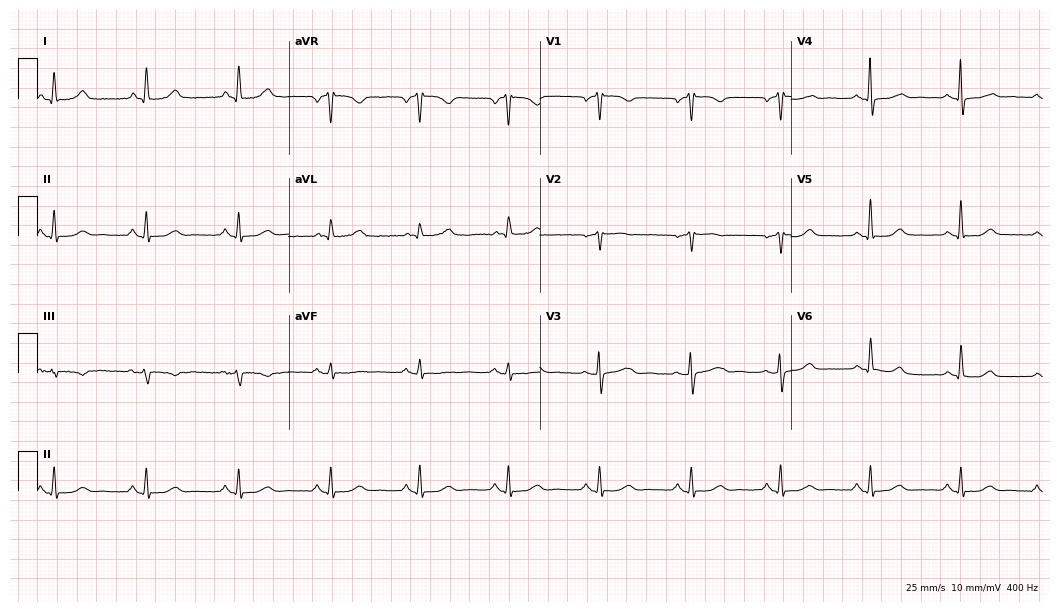
Standard 12-lead ECG recorded from a female, 74 years old (10.2-second recording at 400 Hz). Read as a normal ECG.